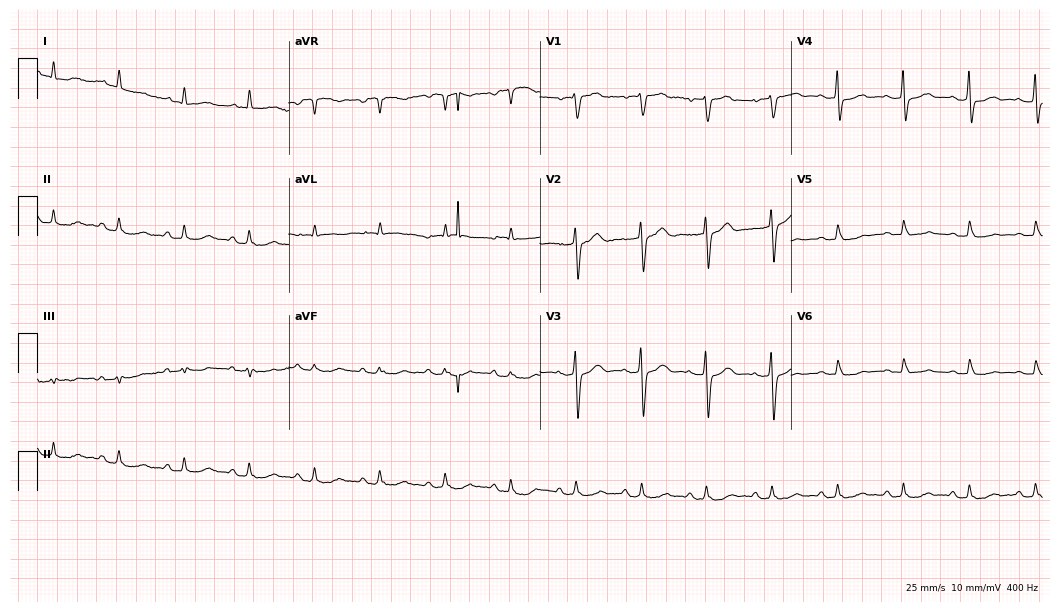
Resting 12-lead electrocardiogram. Patient: a male, 80 years old. None of these six findings is recorded: first-degree AV block, right bundle branch block, left bundle branch block, sinus bradycardia, atrial fibrillation, sinus tachycardia.